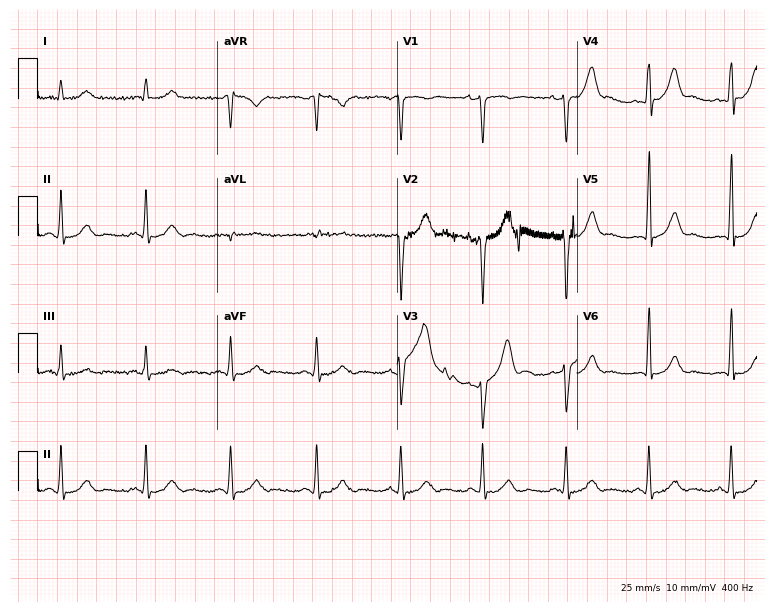
12-lead ECG (7.3-second recording at 400 Hz) from a man, 35 years old. Labelled as a normal ECG.